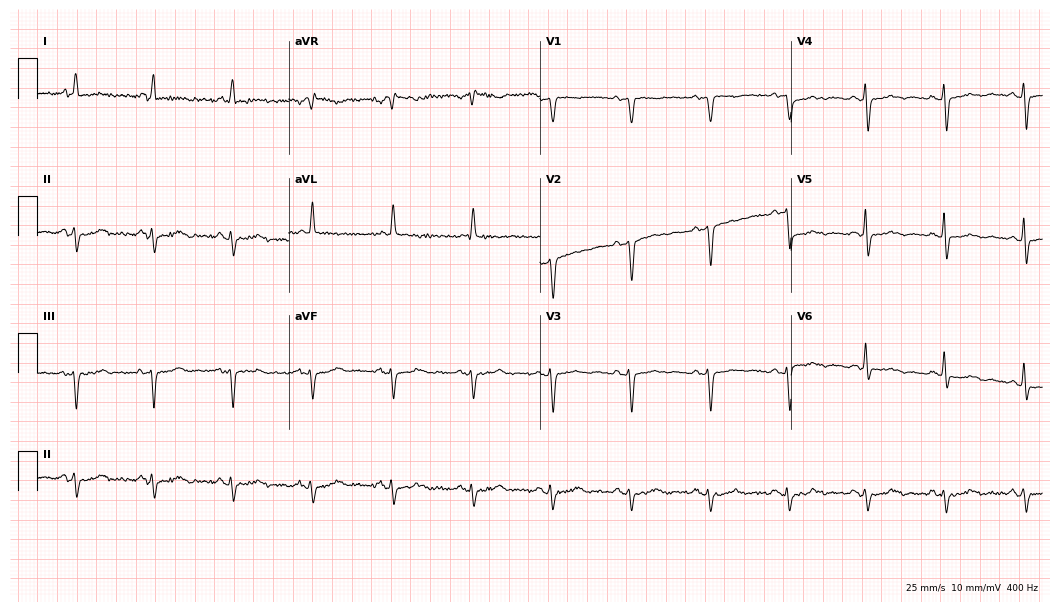
12-lead ECG (10.2-second recording at 400 Hz) from a man, 84 years old. Screened for six findings — first-degree AV block, right bundle branch block, left bundle branch block, sinus bradycardia, atrial fibrillation, sinus tachycardia — none is recorded. Only these six findings were labelled.